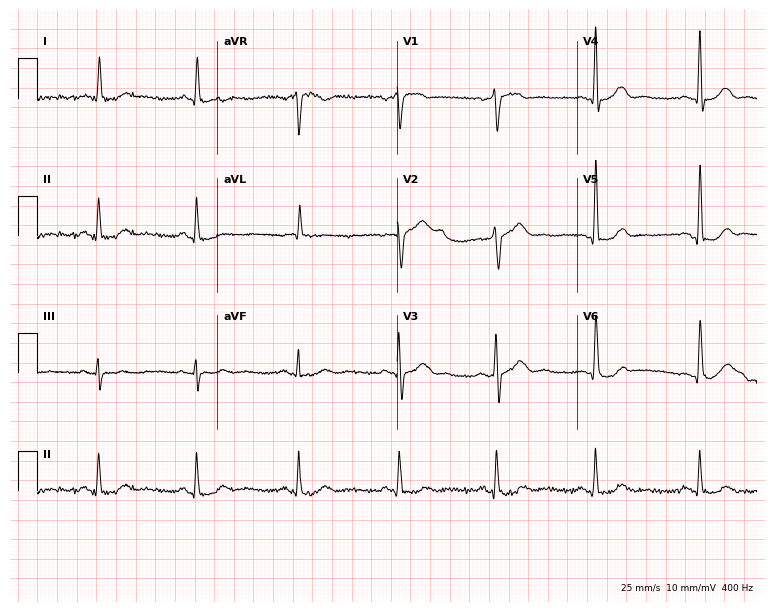
12-lead ECG from a male, 53 years old. Recorded interpretation: within normal limits.